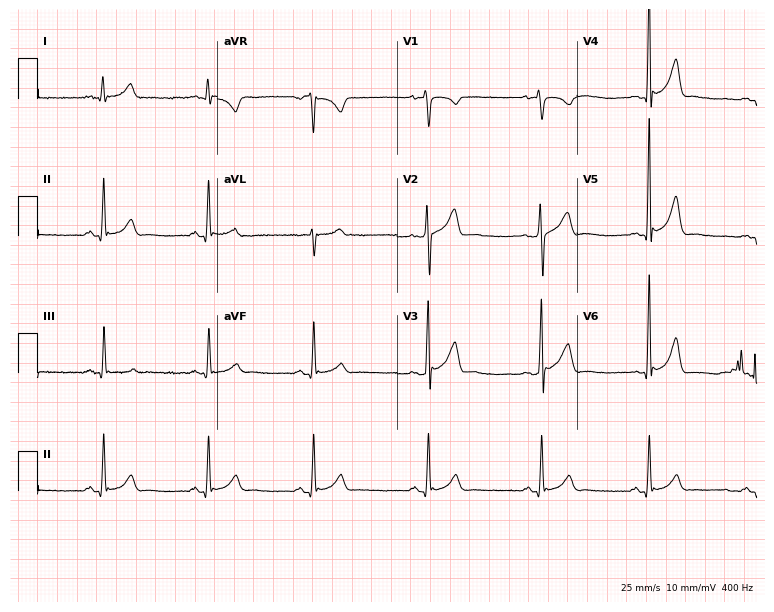
Electrocardiogram (7.3-second recording at 400 Hz), a male, 26 years old. Overall reading on record: normal ECG.